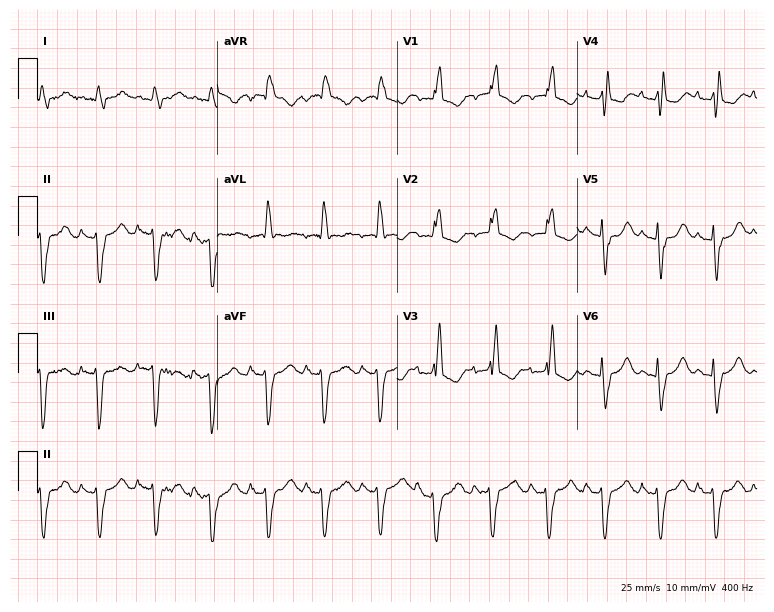
Standard 12-lead ECG recorded from a female, 71 years old. The tracing shows right bundle branch block, left bundle branch block, sinus tachycardia (a sinus rate of 100 beats per minute or more).